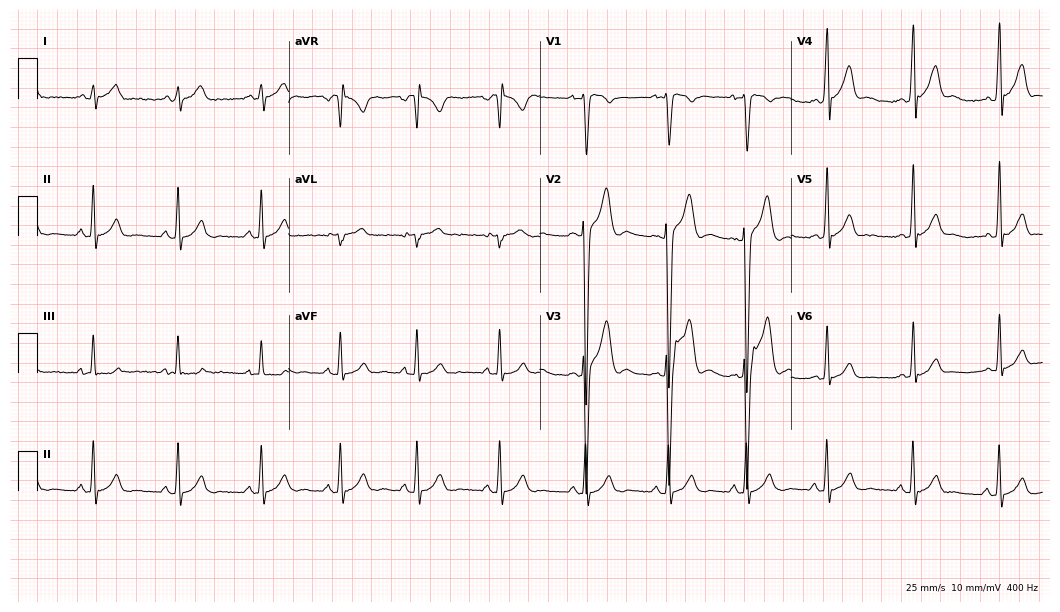
12-lead ECG (10.2-second recording at 400 Hz) from an 18-year-old man. Labelled as a normal ECG.